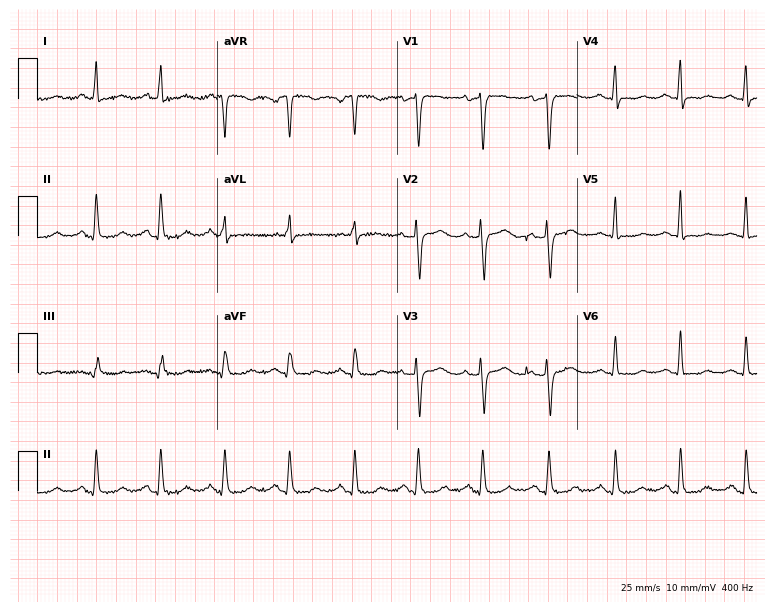
Electrocardiogram (7.3-second recording at 400 Hz), a woman, 56 years old. Of the six screened findings (first-degree AV block, right bundle branch block, left bundle branch block, sinus bradycardia, atrial fibrillation, sinus tachycardia), none is recorded. Findings outside these six are not listed.